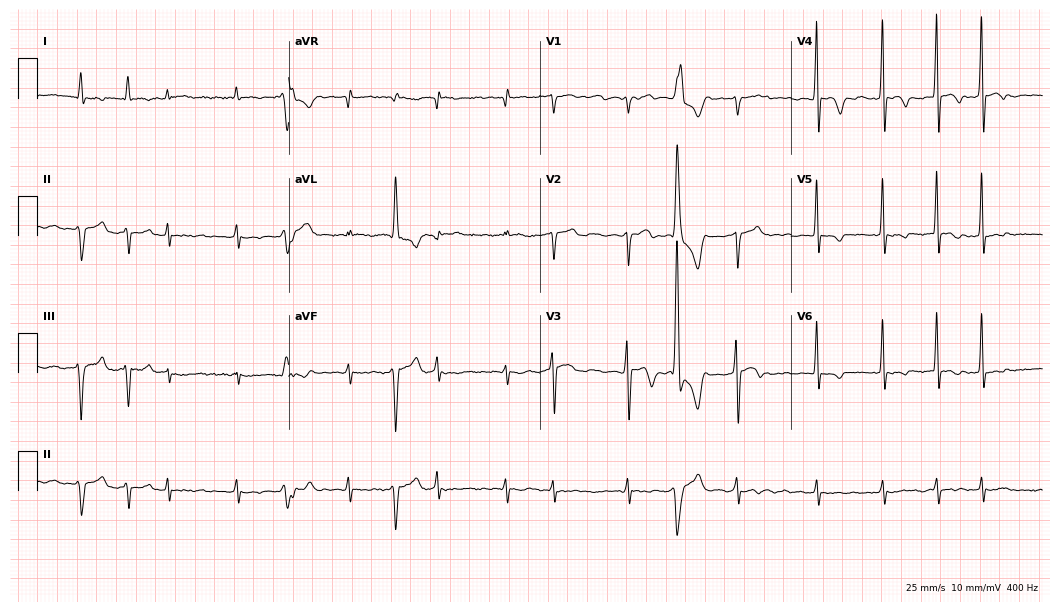
12-lead ECG from a man, 69 years old (10.2-second recording at 400 Hz). Shows atrial fibrillation.